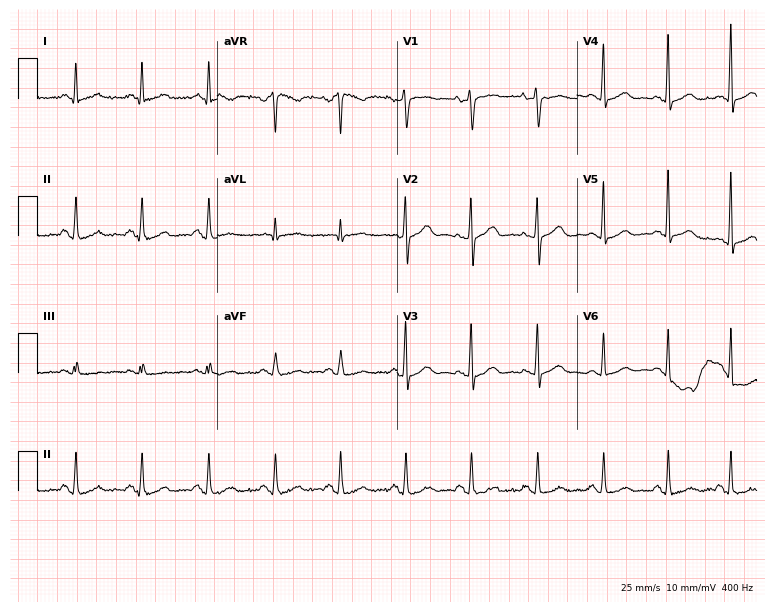
ECG (7.3-second recording at 400 Hz) — a woman, 56 years old. Screened for six findings — first-degree AV block, right bundle branch block (RBBB), left bundle branch block (LBBB), sinus bradycardia, atrial fibrillation (AF), sinus tachycardia — none is recorded.